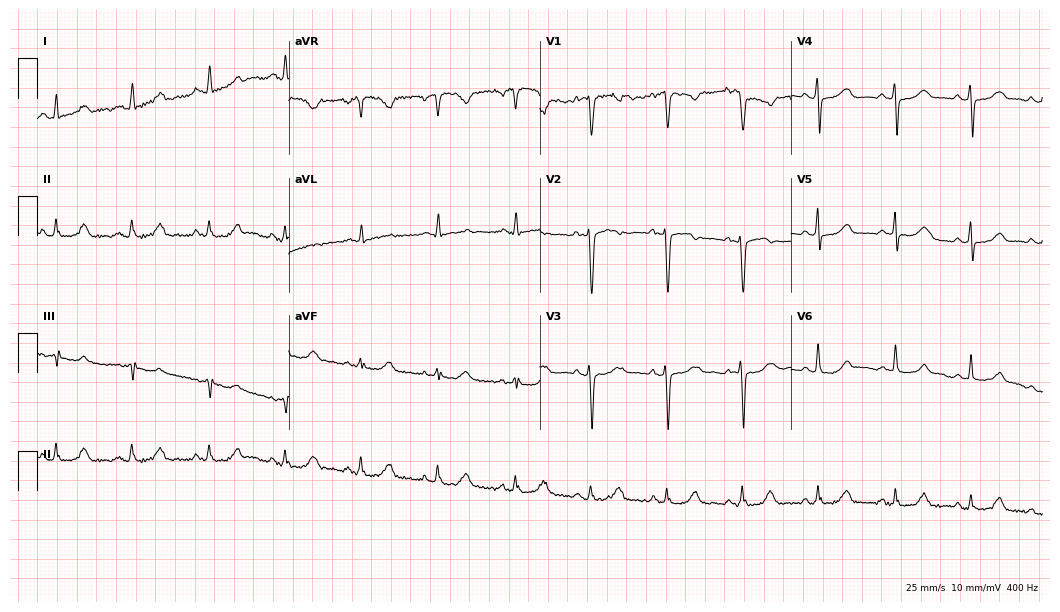
12-lead ECG from a female, 32 years old. No first-degree AV block, right bundle branch block, left bundle branch block, sinus bradycardia, atrial fibrillation or sinus tachycardia recorded for this tracing.